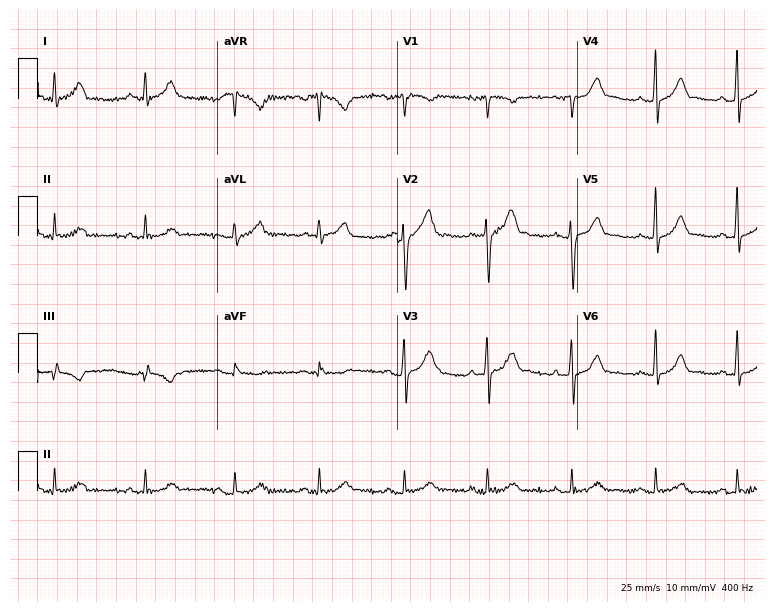
12-lead ECG from a 35-year-old man. Recorded interpretation: within normal limits.